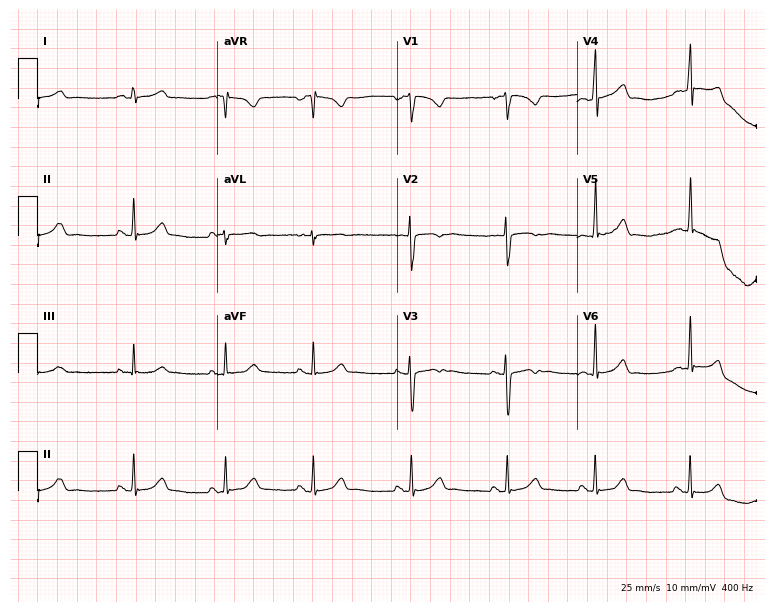
Resting 12-lead electrocardiogram. Patient: a female, 17 years old. Read as a normal ECG.